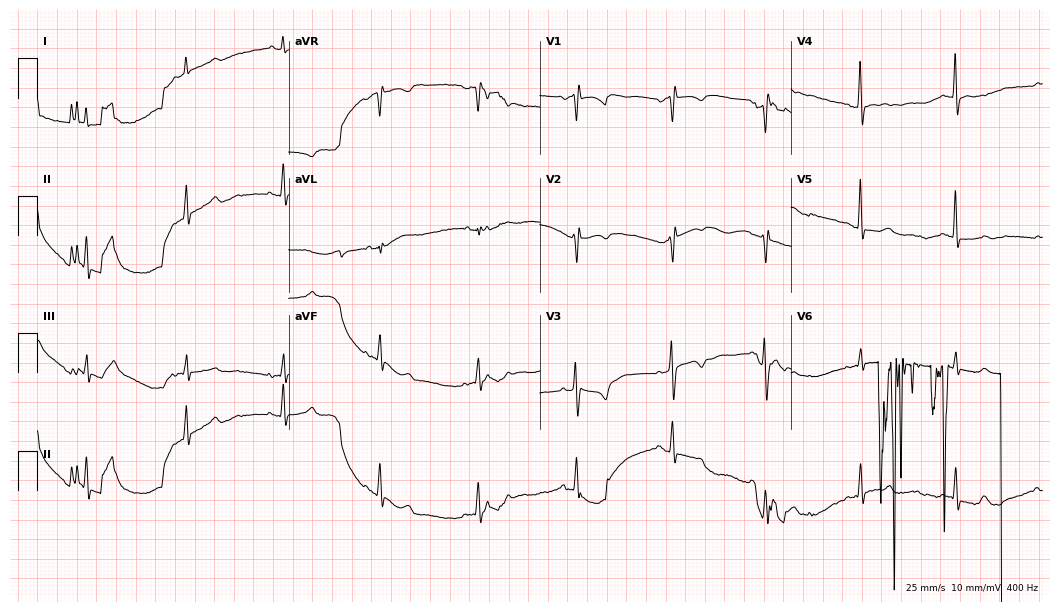
Resting 12-lead electrocardiogram. Patient: a female, 63 years old. None of these six findings is recorded: first-degree AV block, right bundle branch block, left bundle branch block, sinus bradycardia, atrial fibrillation, sinus tachycardia. Findings outside these six are not listed.